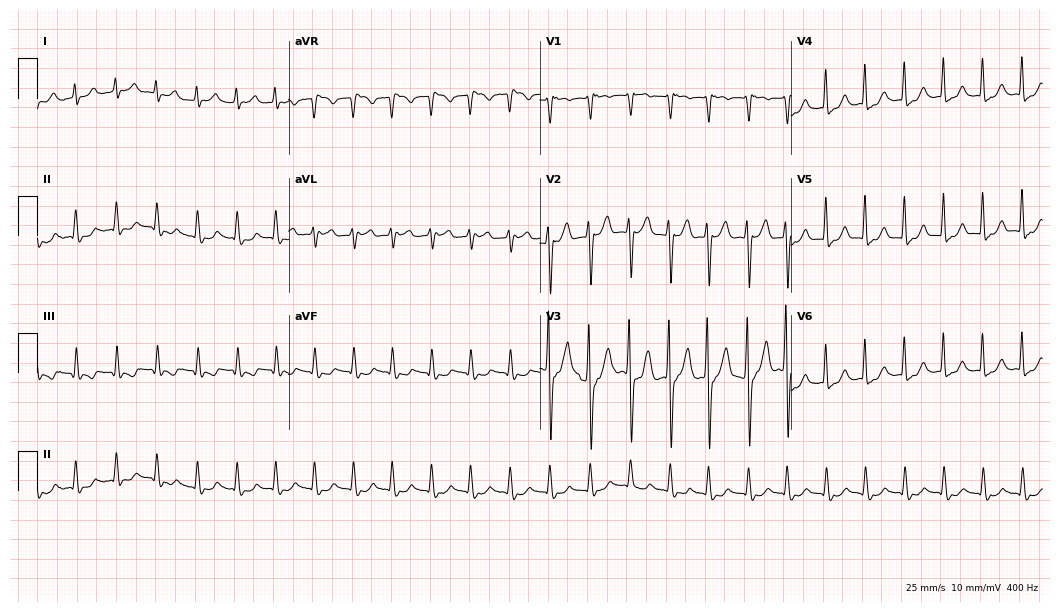
12-lead ECG (10.2-second recording at 400 Hz) from a male patient, 66 years old. Findings include sinus tachycardia (a sinus rate of 100 beats per minute or more).